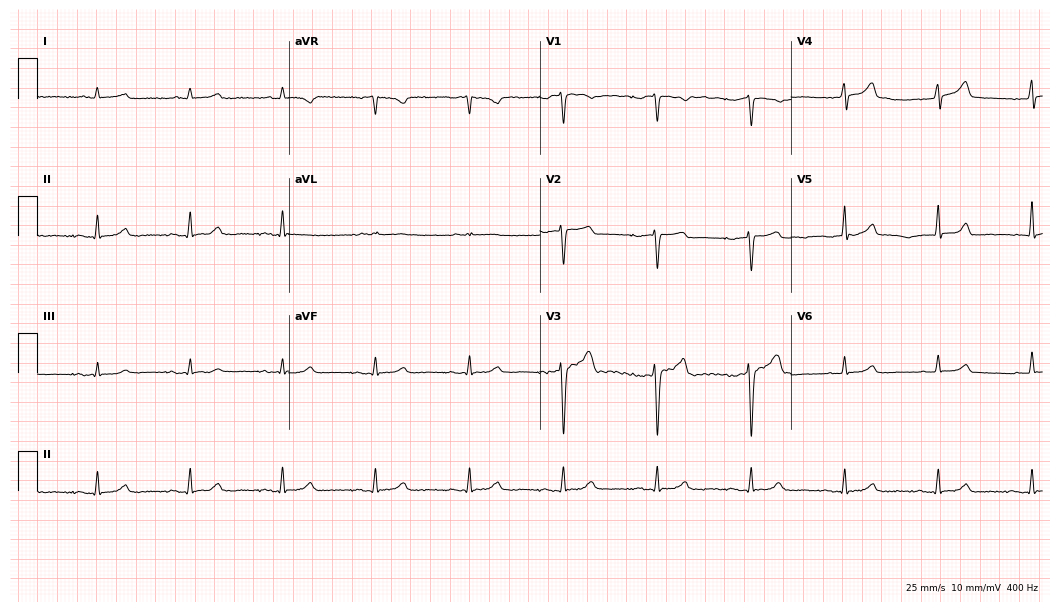
12-lead ECG from a male, 69 years old (10.2-second recording at 400 Hz). Recorded interpretation: within normal limits.